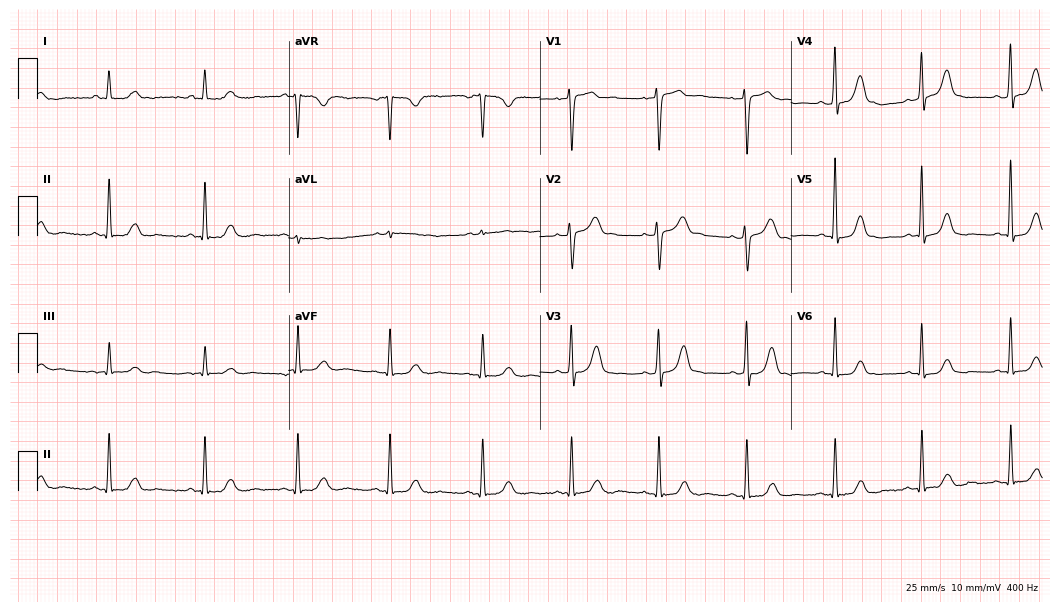
Standard 12-lead ECG recorded from a female, 57 years old. None of these six findings is recorded: first-degree AV block, right bundle branch block (RBBB), left bundle branch block (LBBB), sinus bradycardia, atrial fibrillation (AF), sinus tachycardia.